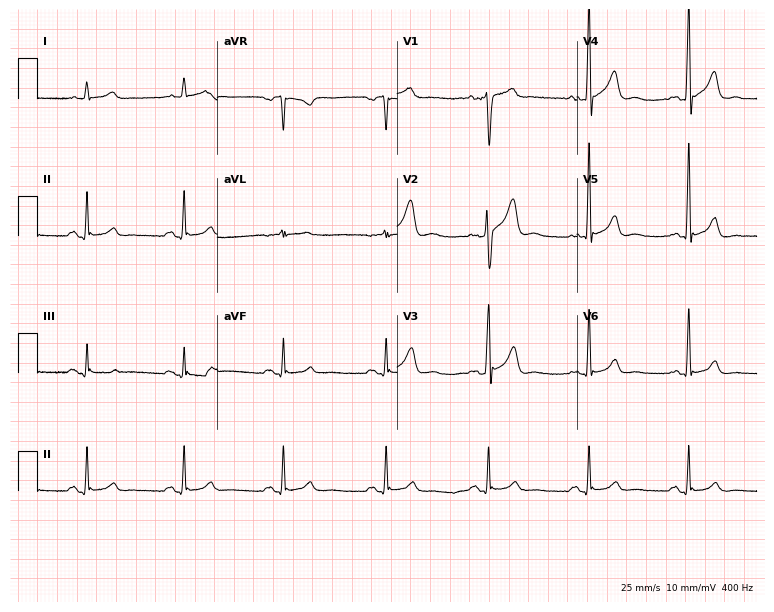
12-lead ECG from a male, 50 years old. Recorded interpretation: within normal limits.